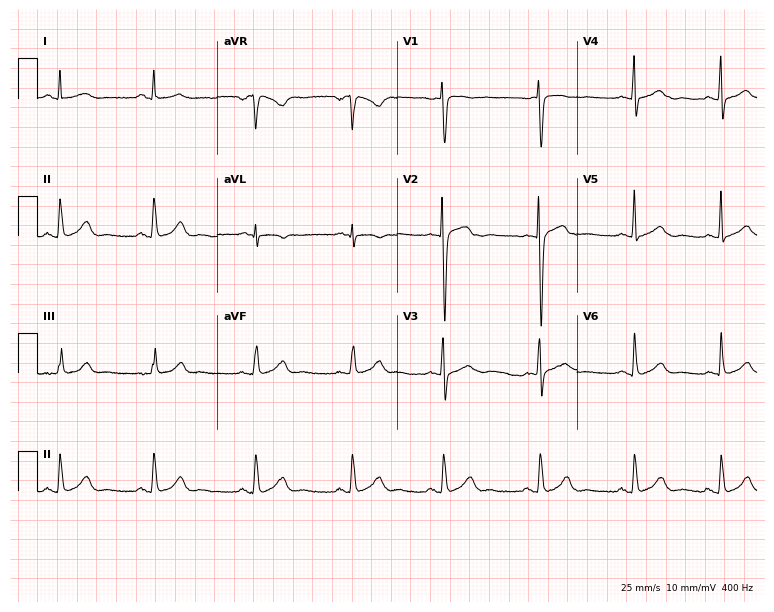
Resting 12-lead electrocardiogram (7.3-second recording at 400 Hz). Patient: a female, 23 years old. Read as a normal ECG.